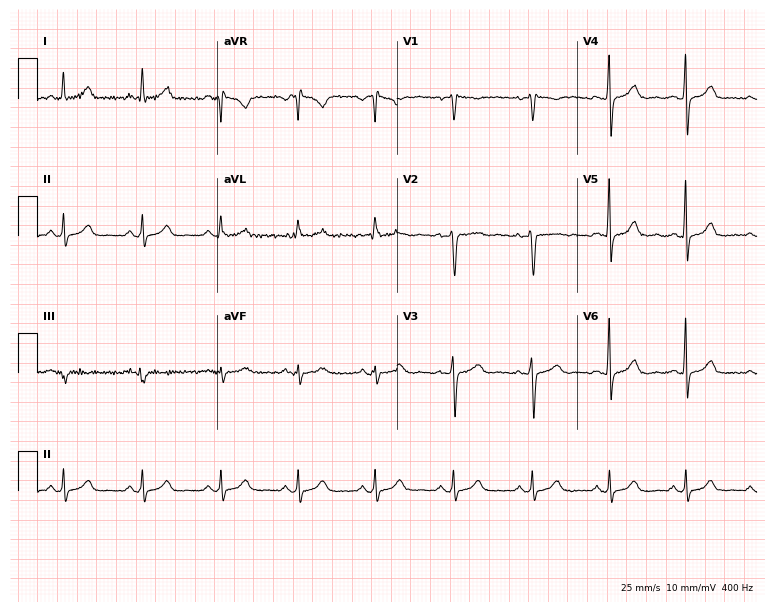
12-lead ECG from a 57-year-old woman (7.3-second recording at 400 Hz). Recorded interpretation: within normal limits.